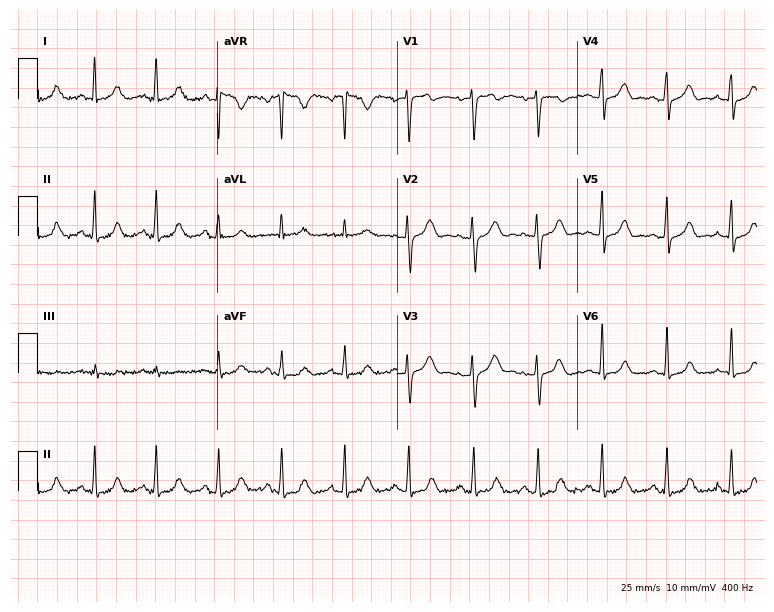
12-lead ECG (7.3-second recording at 400 Hz) from a 43-year-old female. Labelled as a normal ECG.